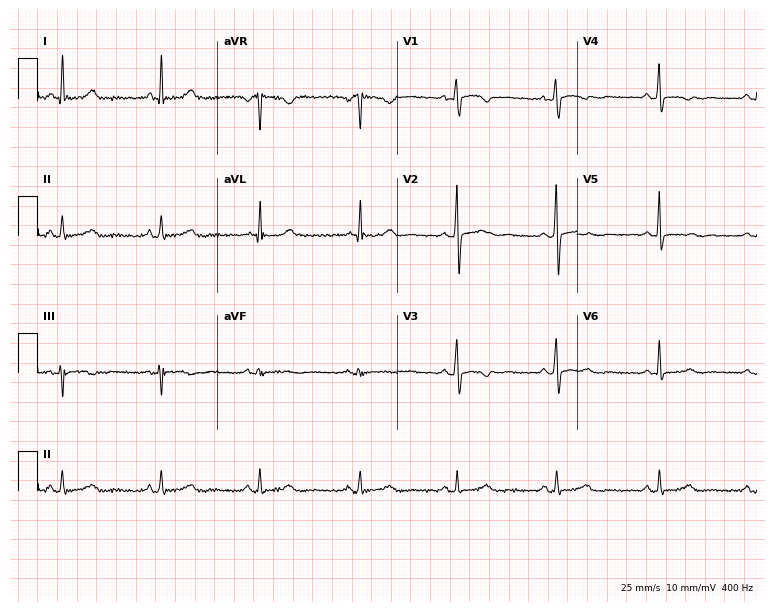
Electrocardiogram (7.3-second recording at 400 Hz), a woman, 47 years old. Overall reading on record: normal ECG.